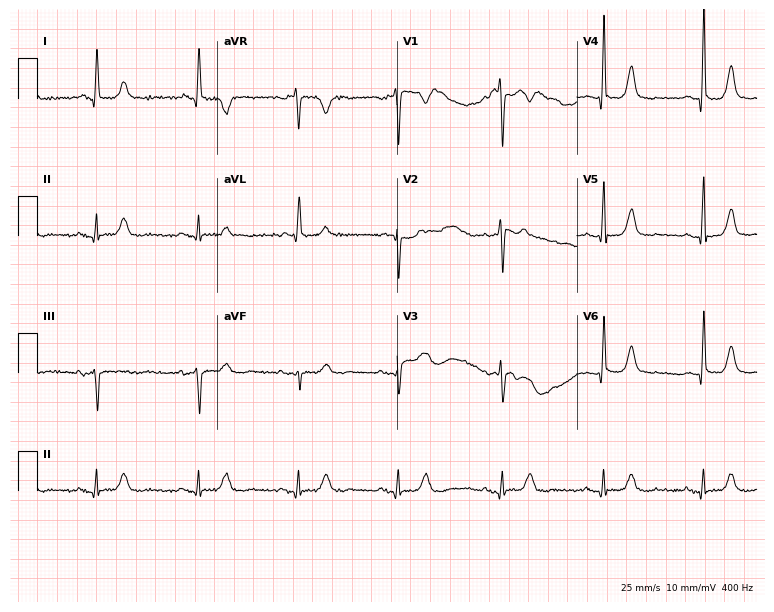
Standard 12-lead ECG recorded from a woman, 68 years old. Read as a normal ECG.